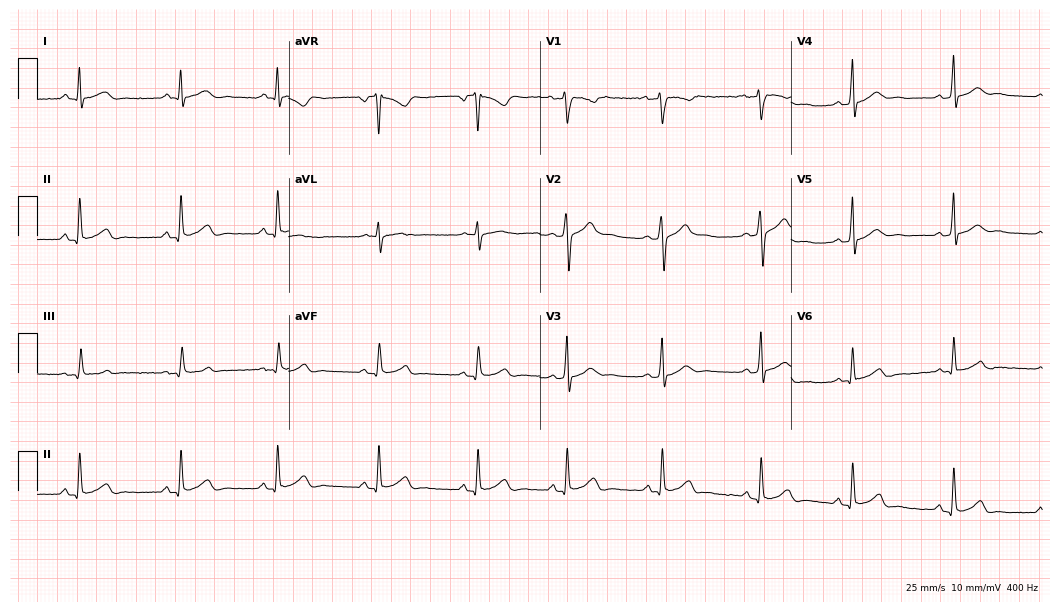
Resting 12-lead electrocardiogram. Patient: a 28-year-old male. Read as a normal ECG.